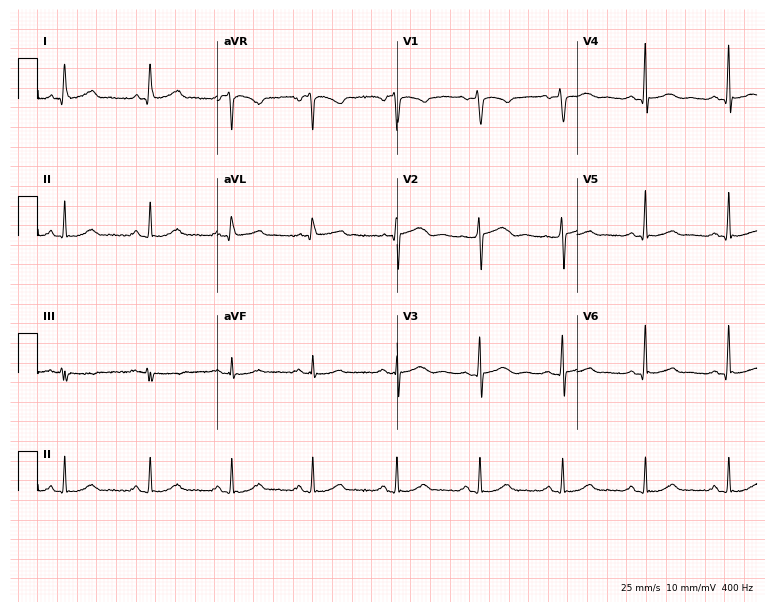
Resting 12-lead electrocardiogram (7.3-second recording at 400 Hz). Patient: a 62-year-old female. Read as a normal ECG.